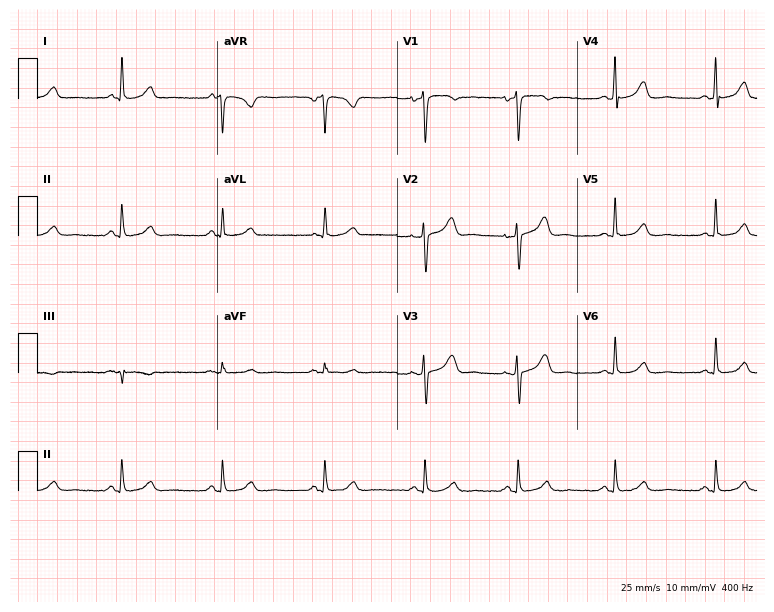
Electrocardiogram, a 52-year-old woman. Of the six screened findings (first-degree AV block, right bundle branch block (RBBB), left bundle branch block (LBBB), sinus bradycardia, atrial fibrillation (AF), sinus tachycardia), none is recorded.